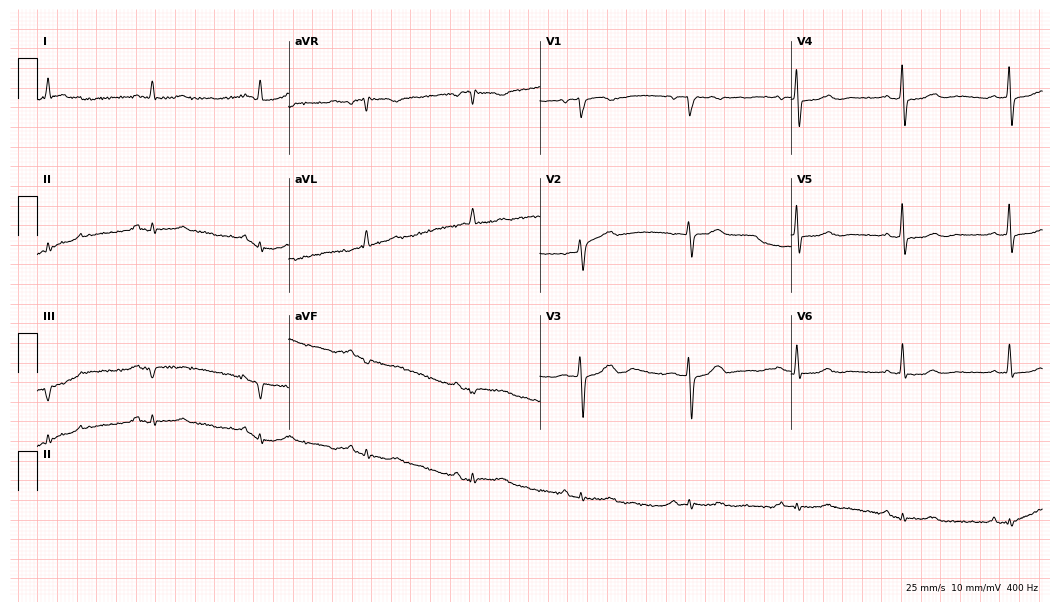
Standard 12-lead ECG recorded from a male patient, 85 years old (10.2-second recording at 400 Hz). Read as a normal ECG.